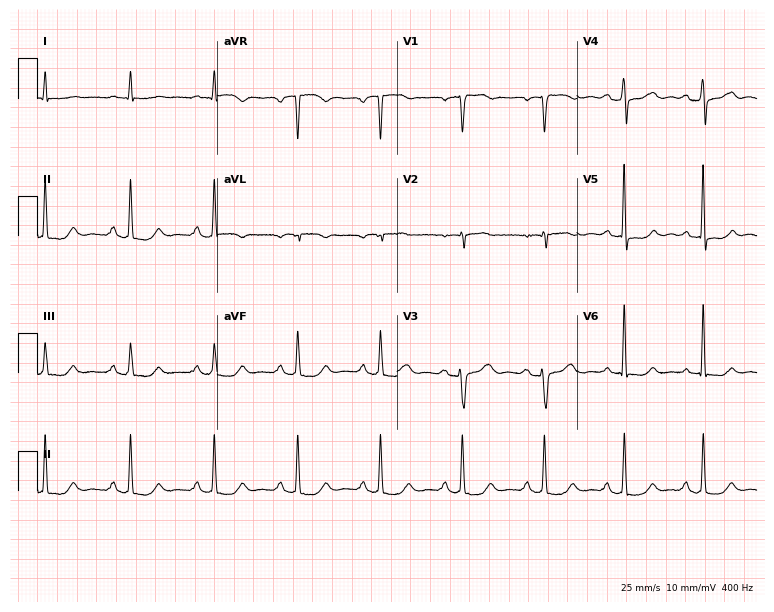
Electrocardiogram, an 81-year-old male. Of the six screened findings (first-degree AV block, right bundle branch block (RBBB), left bundle branch block (LBBB), sinus bradycardia, atrial fibrillation (AF), sinus tachycardia), none is recorded.